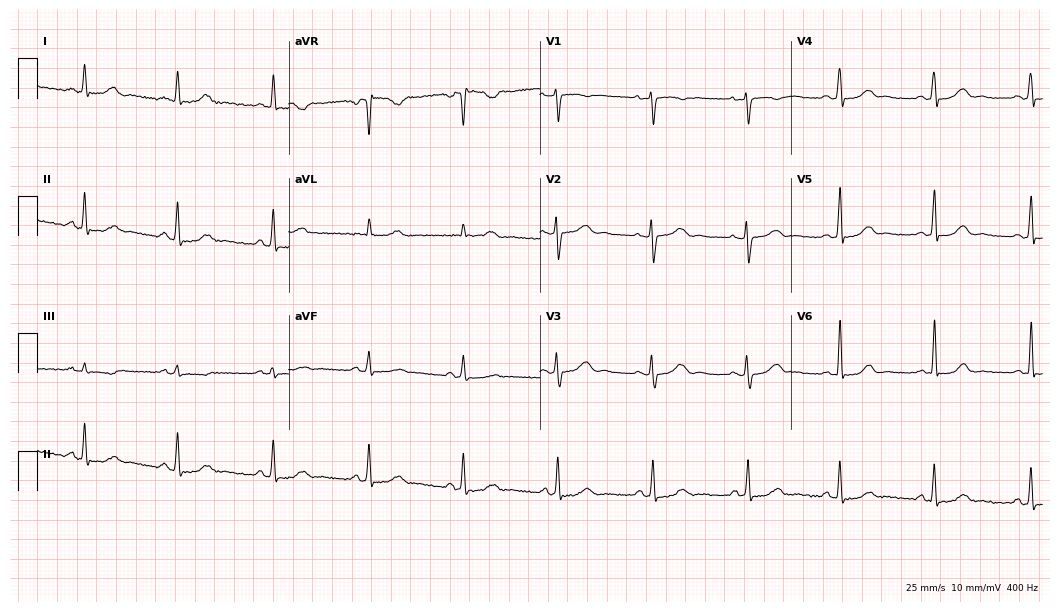
ECG — a female, 41 years old. Labelled as a normal ECG.